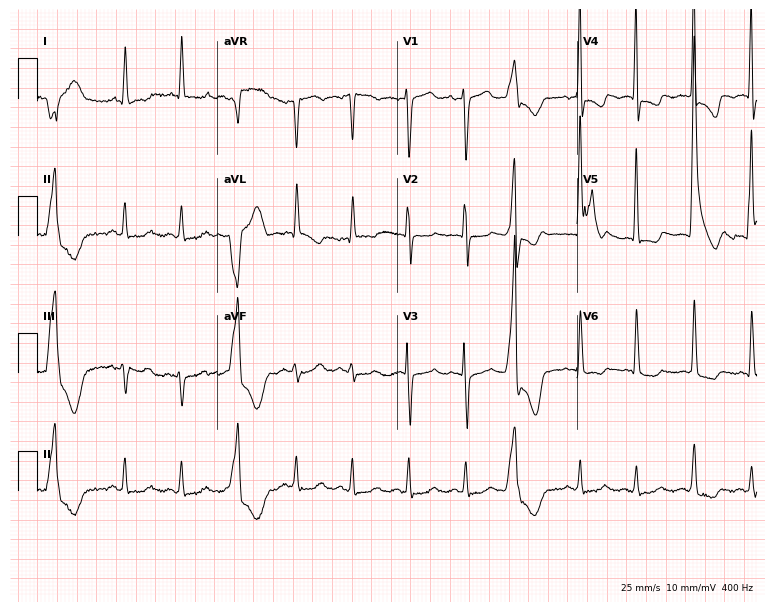
12-lead ECG from an 85-year-old woman. No first-degree AV block, right bundle branch block (RBBB), left bundle branch block (LBBB), sinus bradycardia, atrial fibrillation (AF) or sinus tachycardia recorded for this tracing.